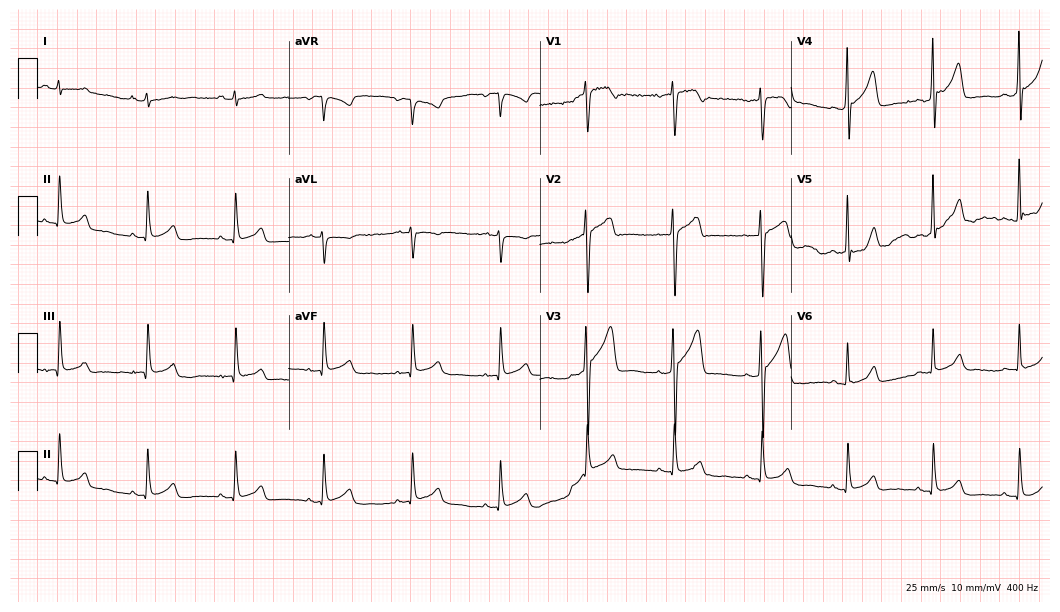
ECG (10.2-second recording at 400 Hz) — a 58-year-old male patient. Labelled as a normal ECG.